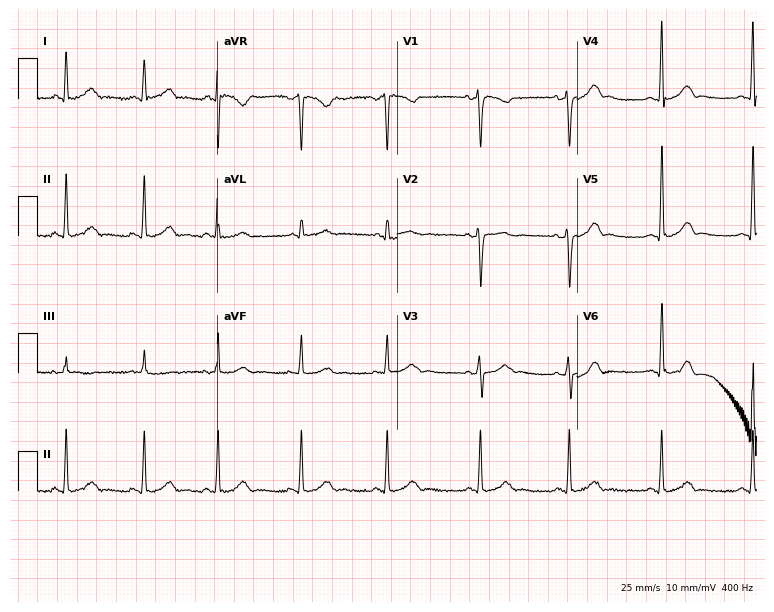
Resting 12-lead electrocardiogram. Patient: a woman, 27 years old. Read as a normal ECG.